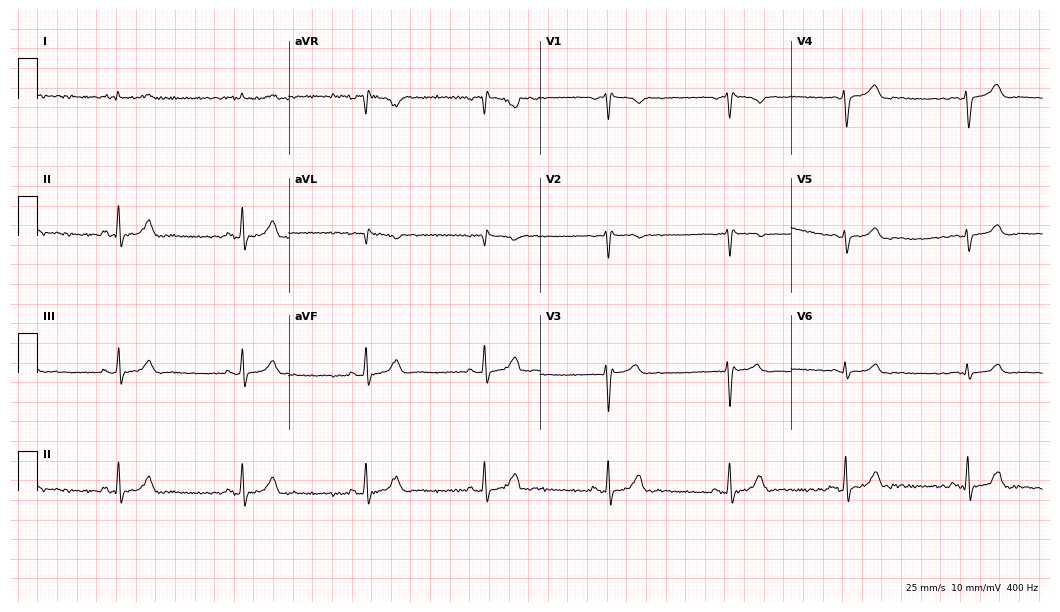
12-lead ECG from a male patient, 42 years old. Screened for six findings — first-degree AV block, right bundle branch block (RBBB), left bundle branch block (LBBB), sinus bradycardia, atrial fibrillation (AF), sinus tachycardia — none is recorded. Only these six findings were labelled.